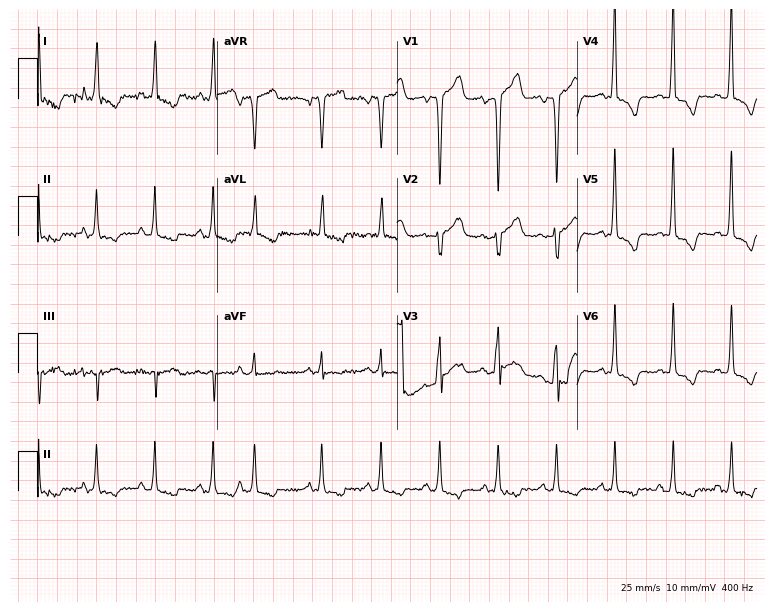
Standard 12-lead ECG recorded from a 56-year-old male (7.3-second recording at 400 Hz). None of these six findings is recorded: first-degree AV block, right bundle branch block, left bundle branch block, sinus bradycardia, atrial fibrillation, sinus tachycardia.